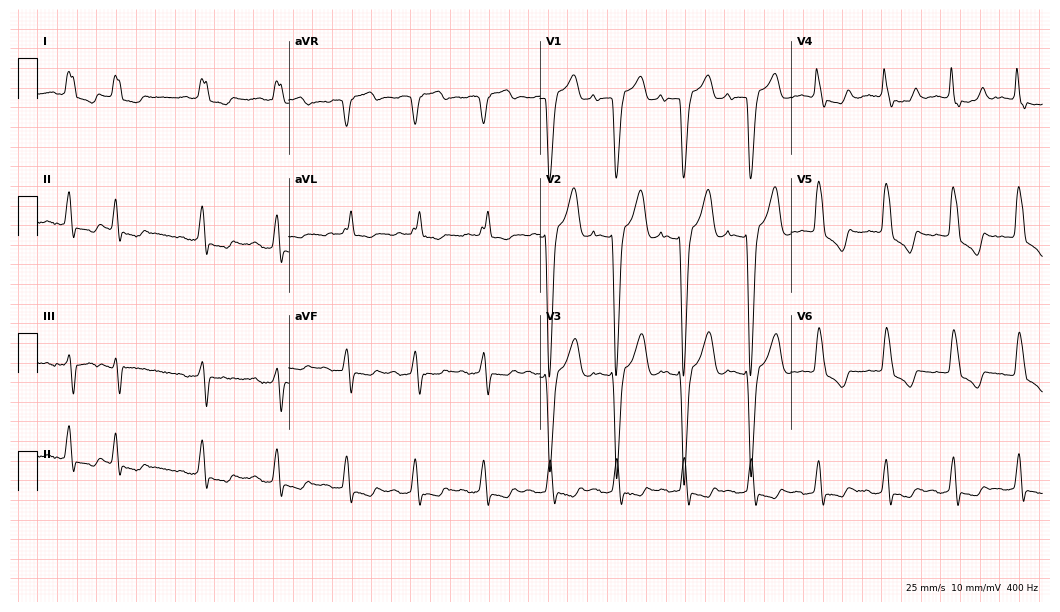
Resting 12-lead electrocardiogram (10.2-second recording at 400 Hz). Patient: a 76-year-old female. The tracing shows left bundle branch block (LBBB).